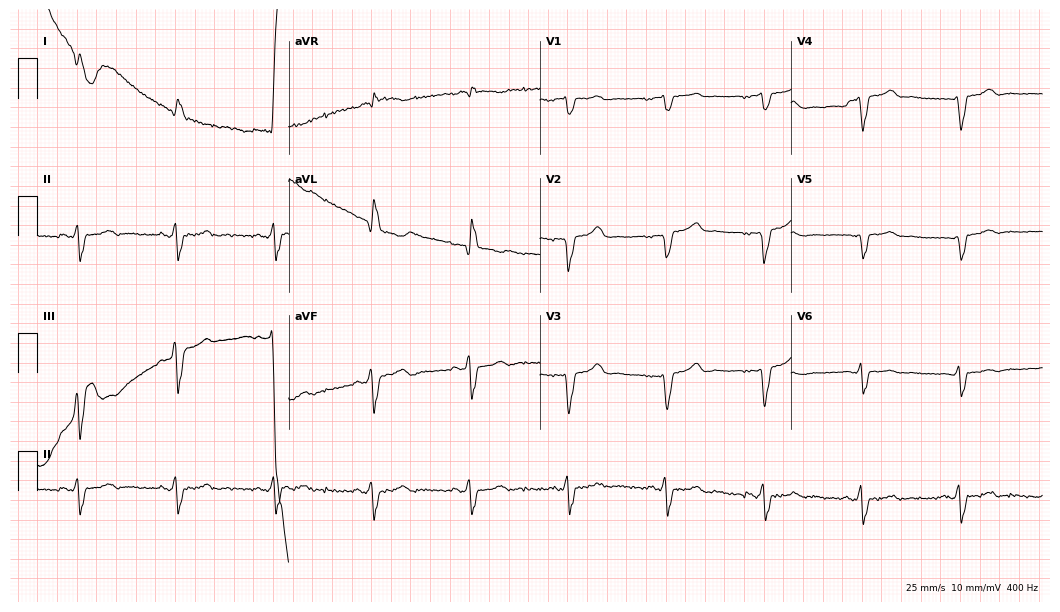
Standard 12-lead ECG recorded from a 64-year-old female patient. The tracing shows left bundle branch block.